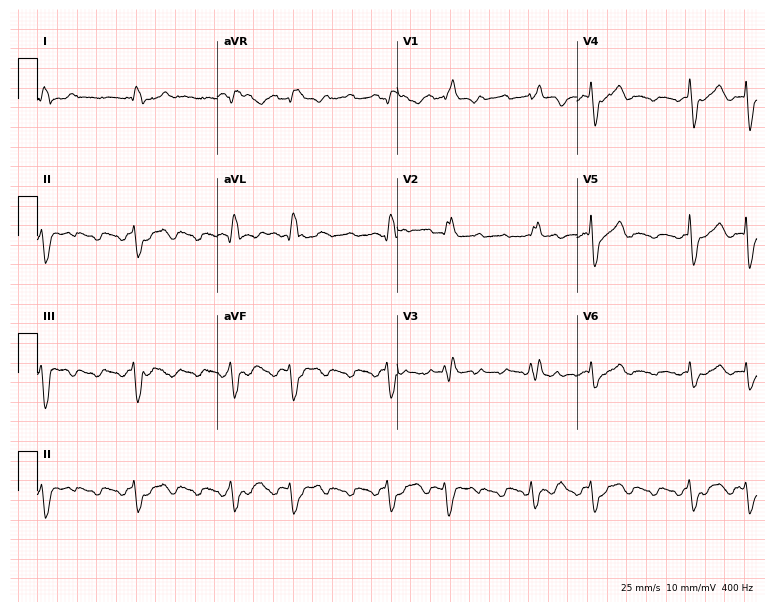
Resting 12-lead electrocardiogram (7.3-second recording at 400 Hz). Patient: an 85-year-old man. The tracing shows right bundle branch block, left bundle branch block.